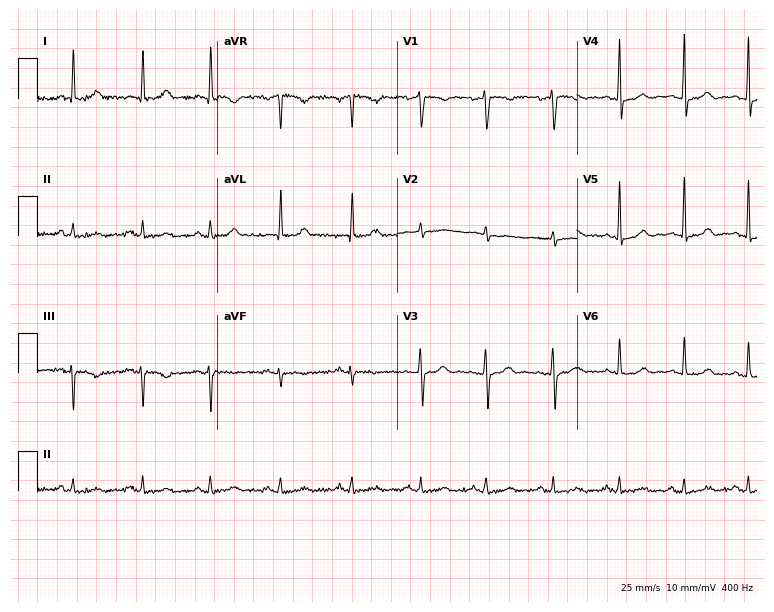
12-lead ECG from a 50-year-old female patient (7.3-second recording at 400 Hz). Recorded interpretation: within normal limits.